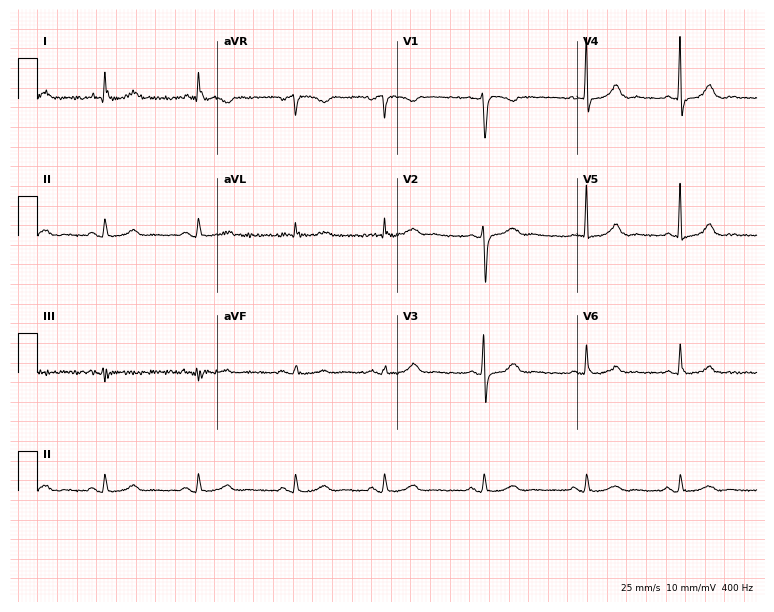
Standard 12-lead ECG recorded from a 52-year-old female (7.3-second recording at 400 Hz). Read as a normal ECG.